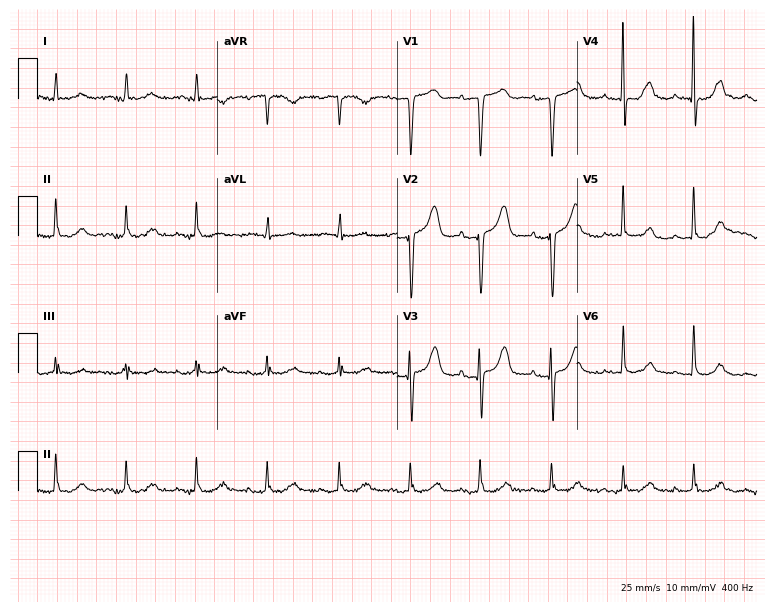
Standard 12-lead ECG recorded from a woman, 74 years old (7.3-second recording at 400 Hz). None of these six findings is recorded: first-degree AV block, right bundle branch block, left bundle branch block, sinus bradycardia, atrial fibrillation, sinus tachycardia. Findings outside these six are not listed.